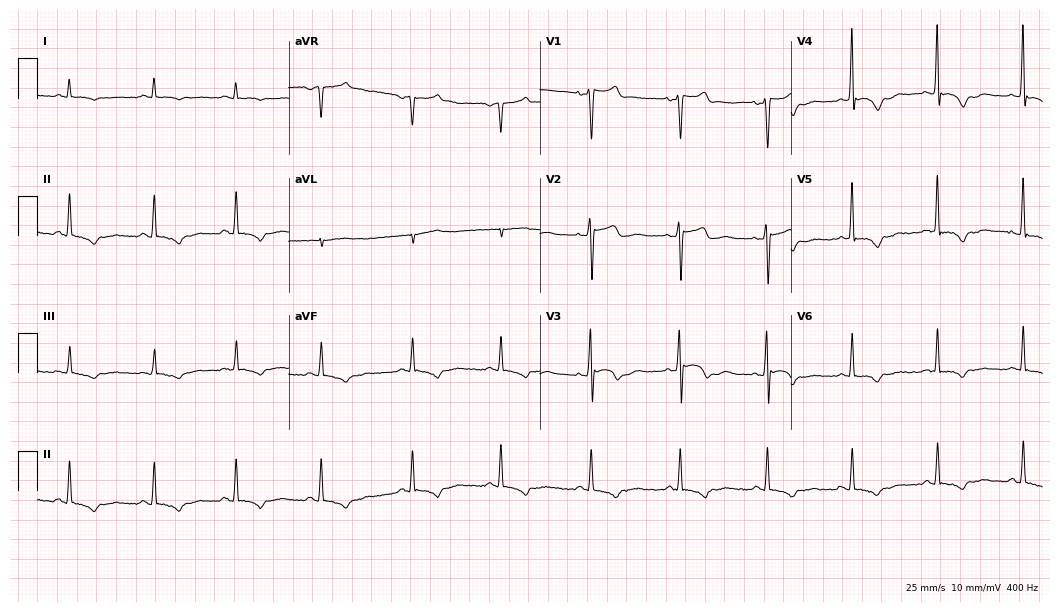
Electrocardiogram, a 54-year-old man. Of the six screened findings (first-degree AV block, right bundle branch block, left bundle branch block, sinus bradycardia, atrial fibrillation, sinus tachycardia), none is recorded.